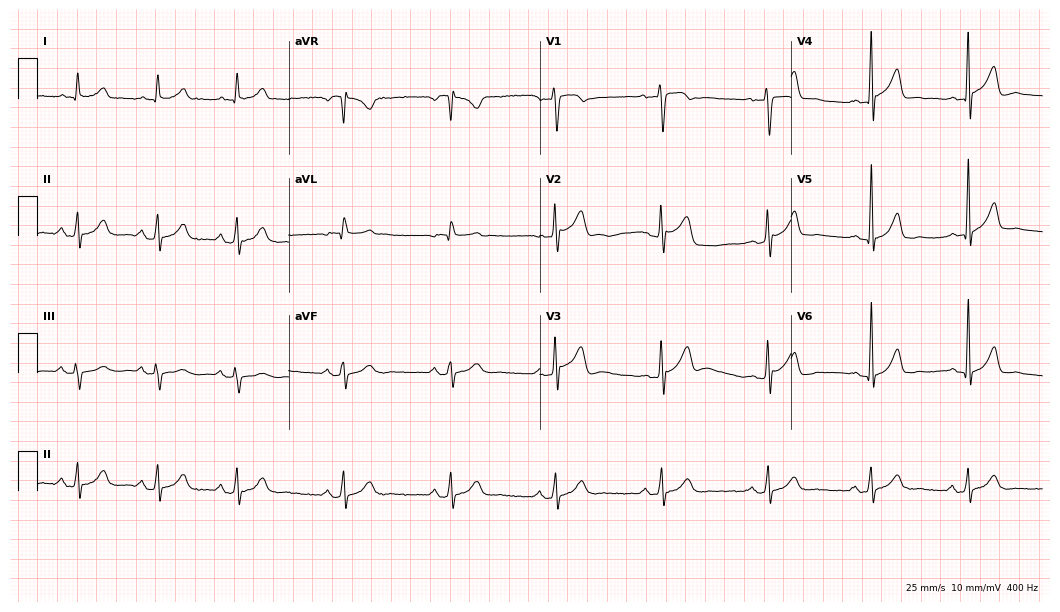
Electrocardiogram, a 45-year-old male. Of the six screened findings (first-degree AV block, right bundle branch block, left bundle branch block, sinus bradycardia, atrial fibrillation, sinus tachycardia), none is recorded.